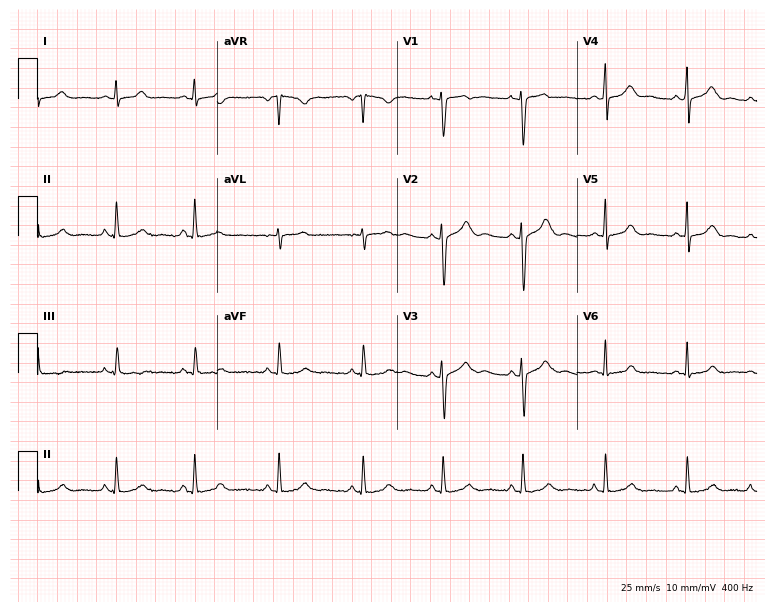
Electrocardiogram (7.3-second recording at 400 Hz), a female, 19 years old. Of the six screened findings (first-degree AV block, right bundle branch block, left bundle branch block, sinus bradycardia, atrial fibrillation, sinus tachycardia), none is recorded.